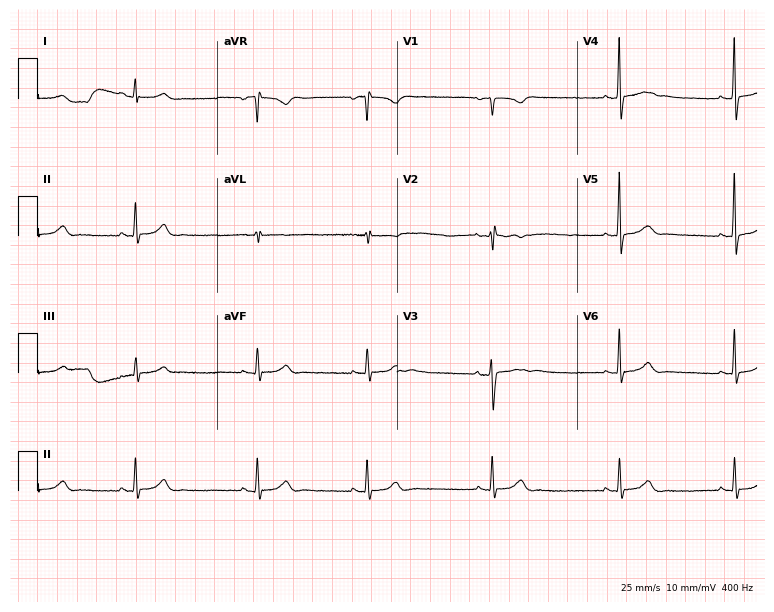
Resting 12-lead electrocardiogram. Patient: a 21-year-old woman. Read as a normal ECG.